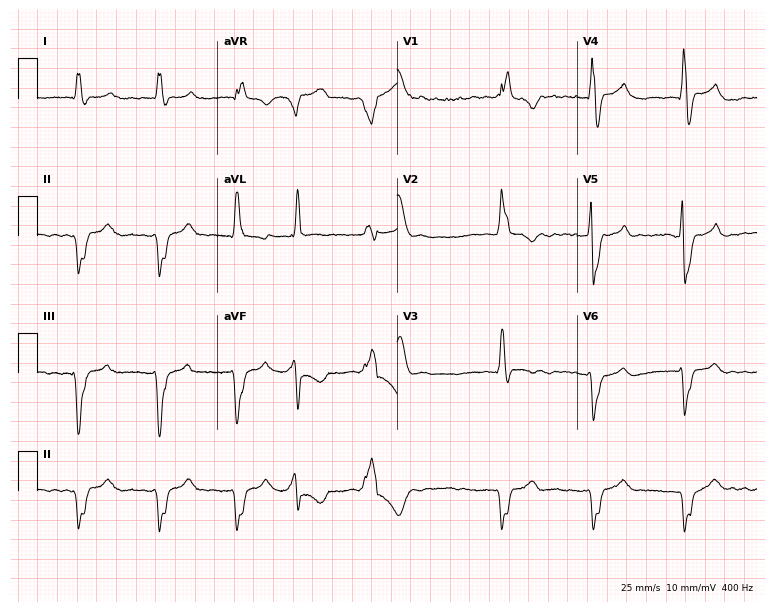
Electrocardiogram, a 47-year-old man. Interpretation includes right bundle branch block, atrial fibrillation.